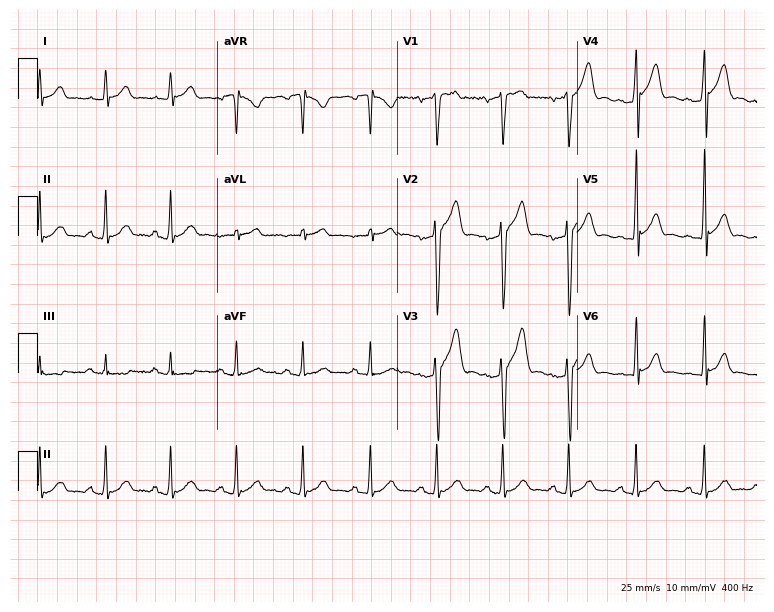
ECG (7.3-second recording at 400 Hz) — a male, 43 years old. Screened for six findings — first-degree AV block, right bundle branch block (RBBB), left bundle branch block (LBBB), sinus bradycardia, atrial fibrillation (AF), sinus tachycardia — none is recorded. Findings outside these six are not listed.